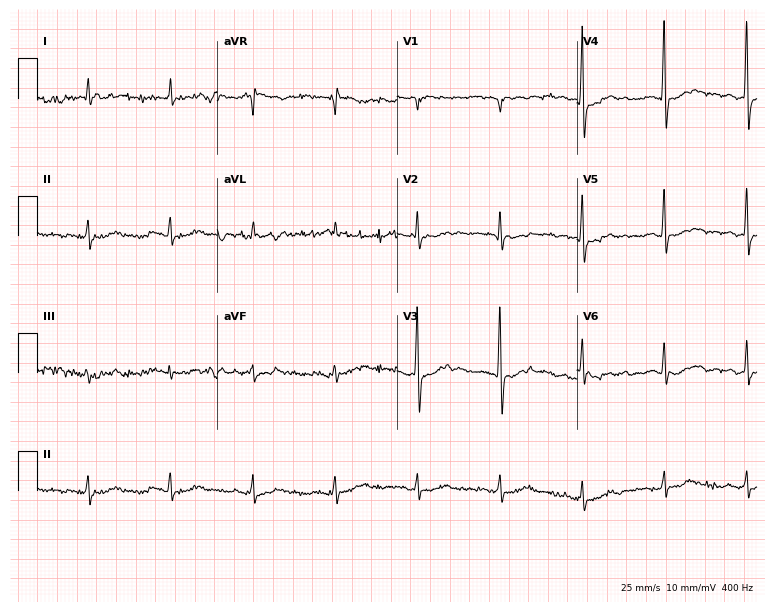
Electrocardiogram, a female patient, 82 years old. Overall reading on record: normal ECG.